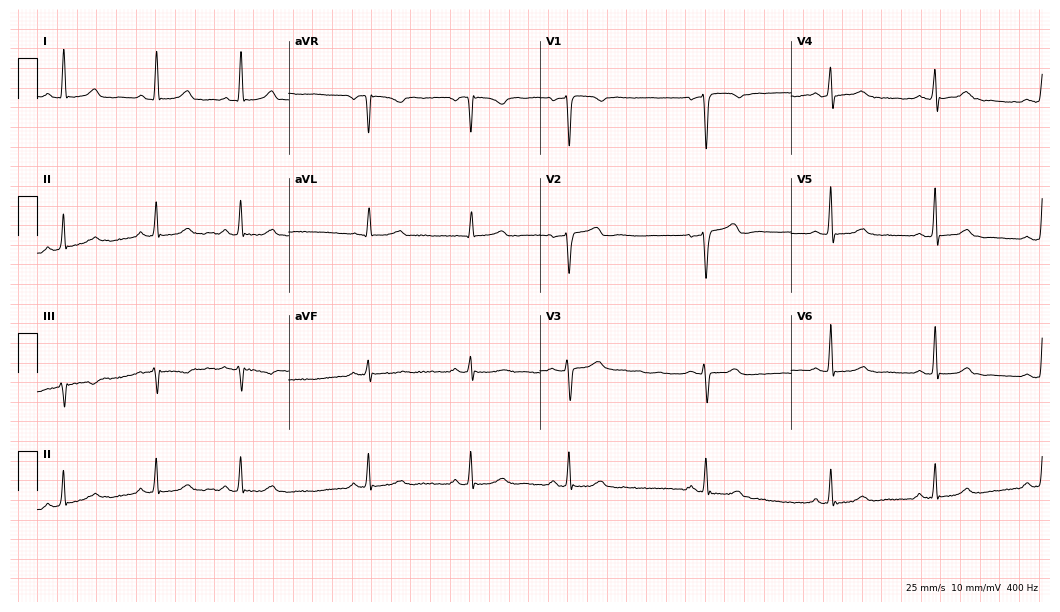
Resting 12-lead electrocardiogram (10.2-second recording at 400 Hz). Patient: a woman, 45 years old. Read as a normal ECG.